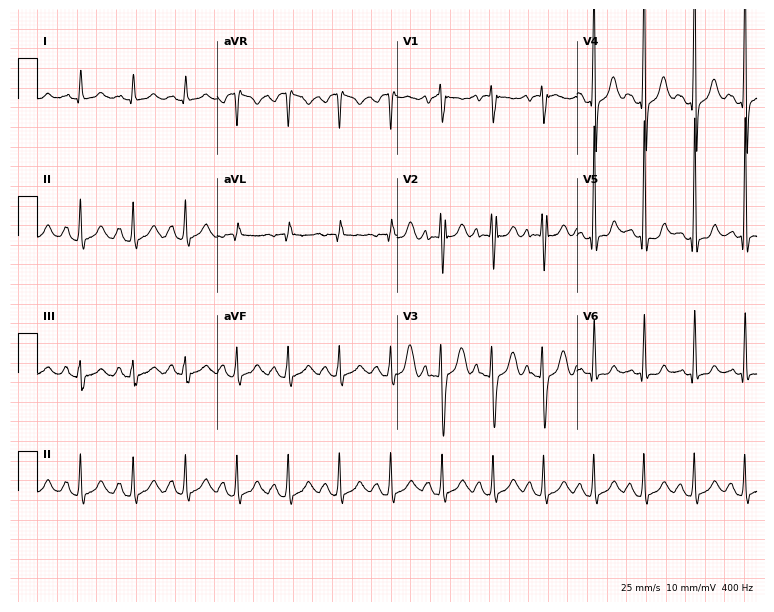
Standard 12-lead ECG recorded from a 19-year-old man (7.3-second recording at 400 Hz). The tracing shows sinus tachycardia (a sinus rate of 100 beats per minute or more).